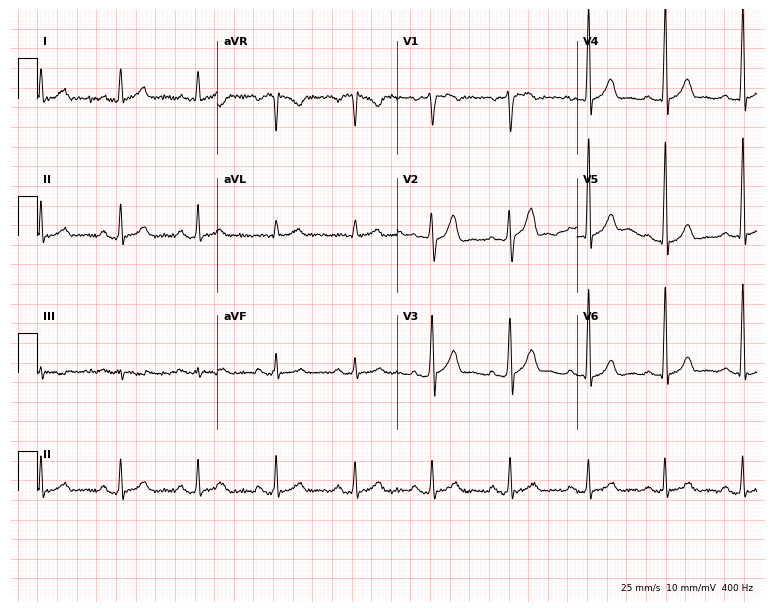
Resting 12-lead electrocardiogram (7.3-second recording at 400 Hz). Patient: a woman, 40 years old. Read as a normal ECG.